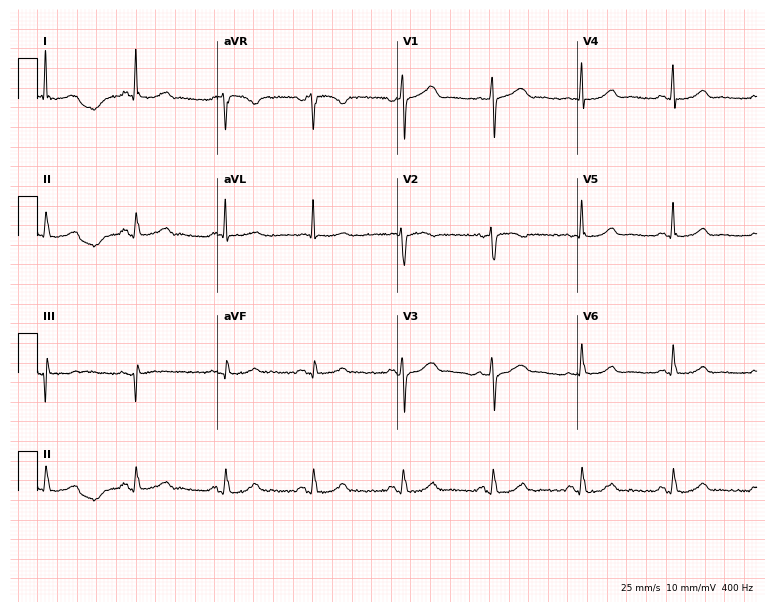
12-lead ECG from a woman, 77 years old. Recorded interpretation: within normal limits.